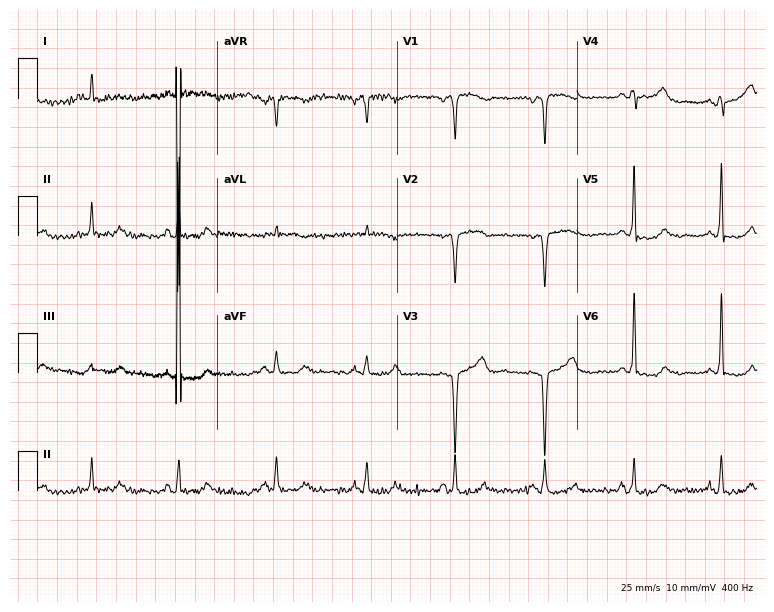
12-lead ECG from a female, 77 years old. Screened for six findings — first-degree AV block, right bundle branch block (RBBB), left bundle branch block (LBBB), sinus bradycardia, atrial fibrillation (AF), sinus tachycardia — none is recorded. Only these six findings were labelled.